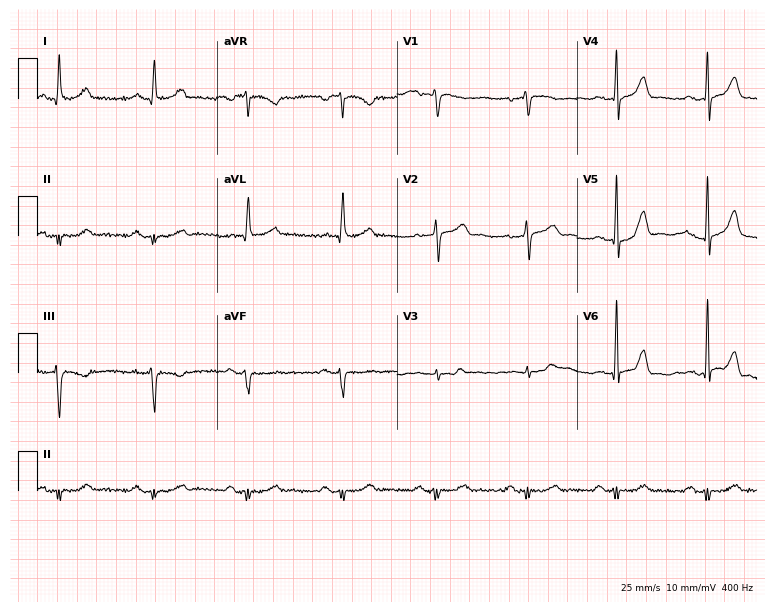
Resting 12-lead electrocardiogram. Patient: a male, 65 years old. None of these six findings is recorded: first-degree AV block, right bundle branch block, left bundle branch block, sinus bradycardia, atrial fibrillation, sinus tachycardia.